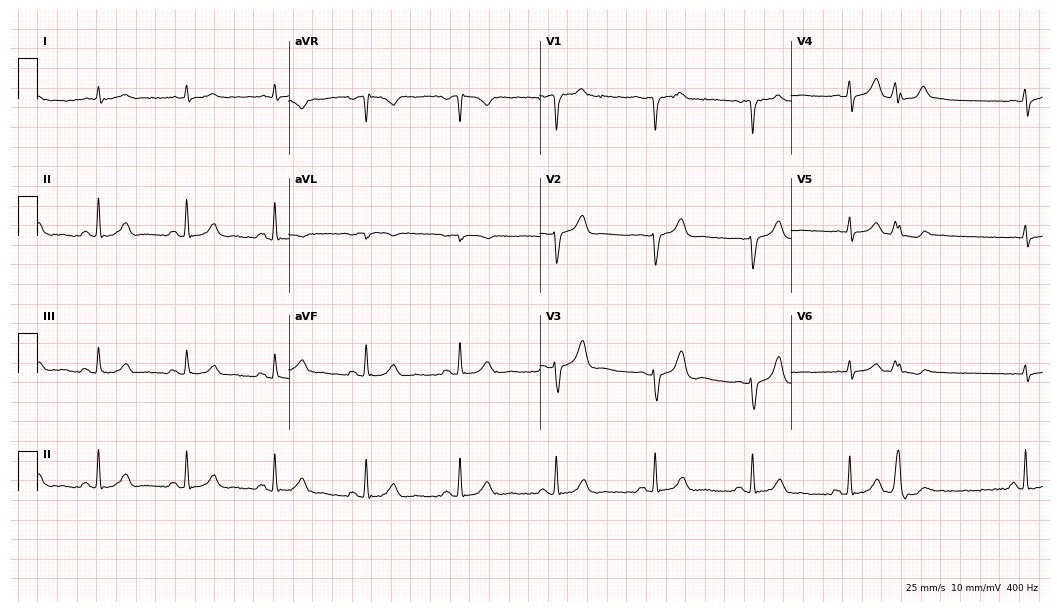
12-lead ECG from a male patient, 64 years old (10.2-second recording at 400 Hz). No first-degree AV block, right bundle branch block, left bundle branch block, sinus bradycardia, atrial fibrillation or sinus tachycardia recorded for this tracing. Only these six findings were labelled.